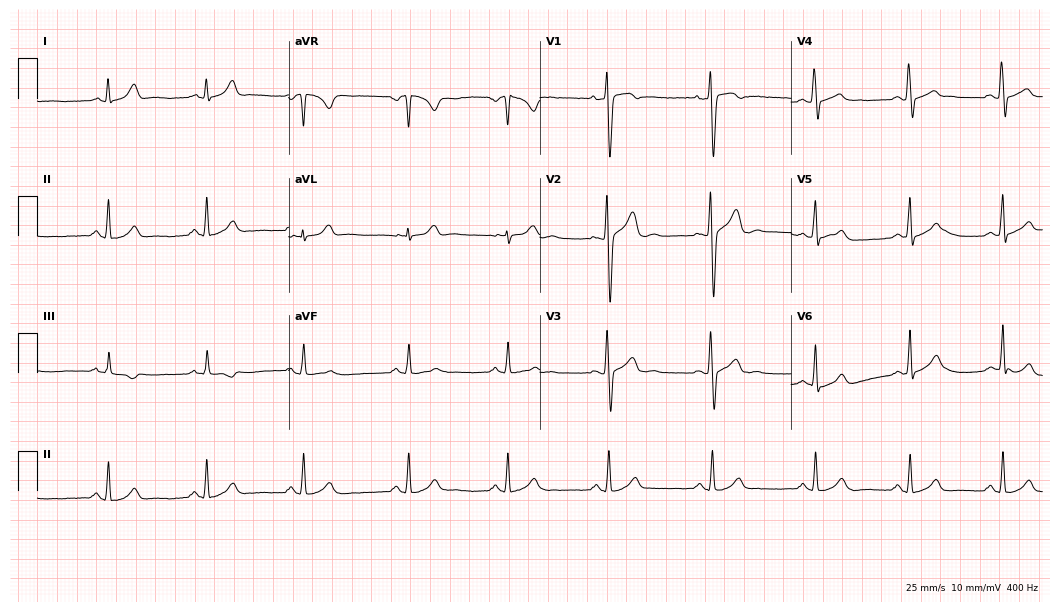
12-lead ECG from a 27-year-old male (10.2-second recording at 400 Hz). Recorded interpretation: within normal limits.